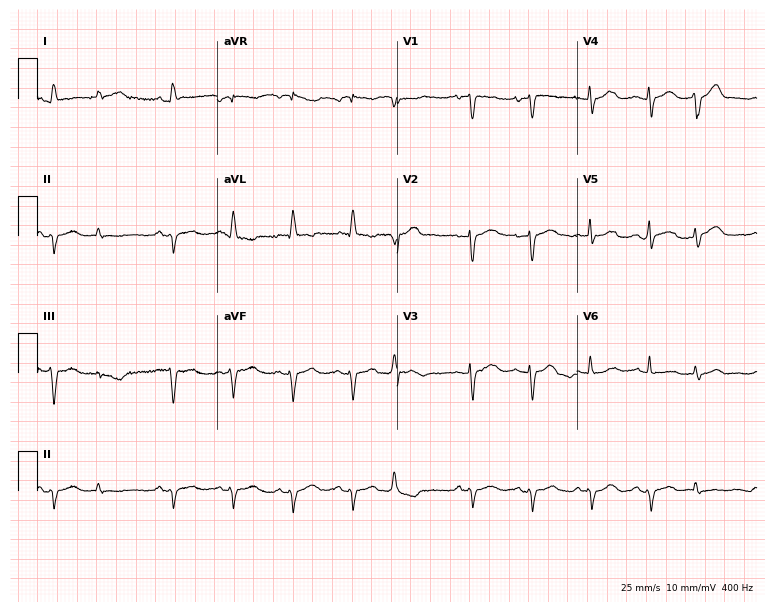
12-lead ECG from an 85-year-old male patient (7.3-second recording at 400 Hz). No first-degree AV block, right bundle branch block, left bundle branch block, sinus bradycardia, atrial fibrillation or sinus tachycardia recorded for this tracing.